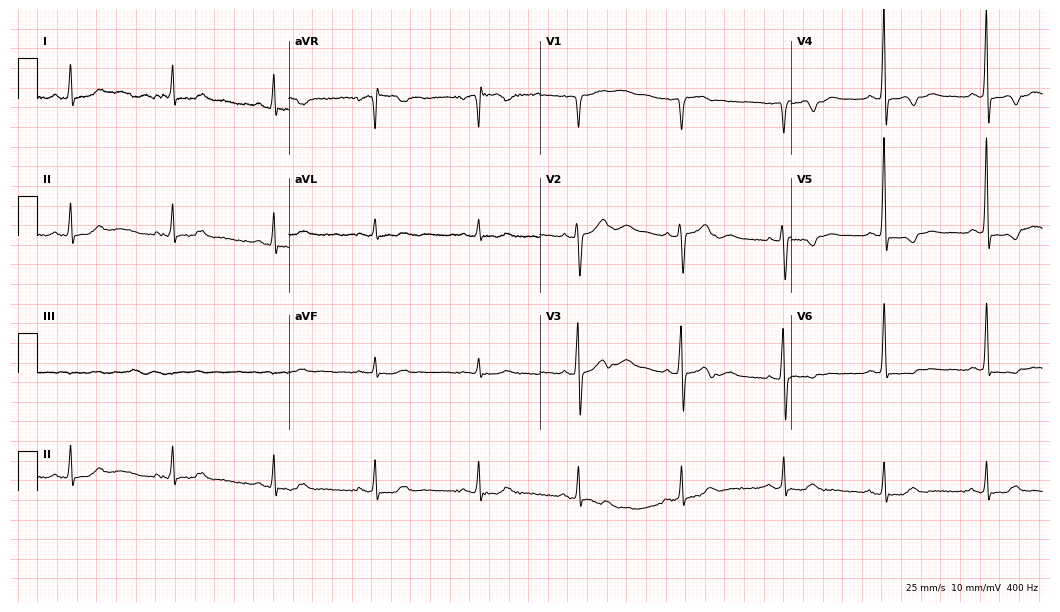
Resting 12-lead electrocardiogram. Patient: an 84-year-old female. None of these six findings is recorded: first-degree AV block, right bundle branch block, left bundle branch block, sinus bradycardia, atrial fibrillation, sinus tachycardia. Findings outside these six are not listed.